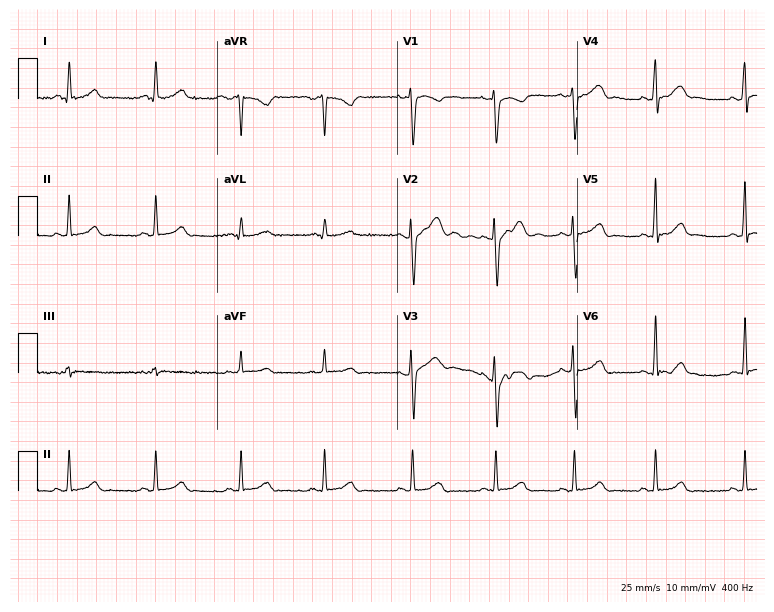
Electrocardiogram, a 26-year-old woman. Of the six screened findings (first-degree AV block, right bundle branch block (RBBB), left bundle branch block (LBBB), sinus bradycardia, atrial fibrillation (AF), sinus tachycardia), none is recorded. Other findings, if any, are not listed.